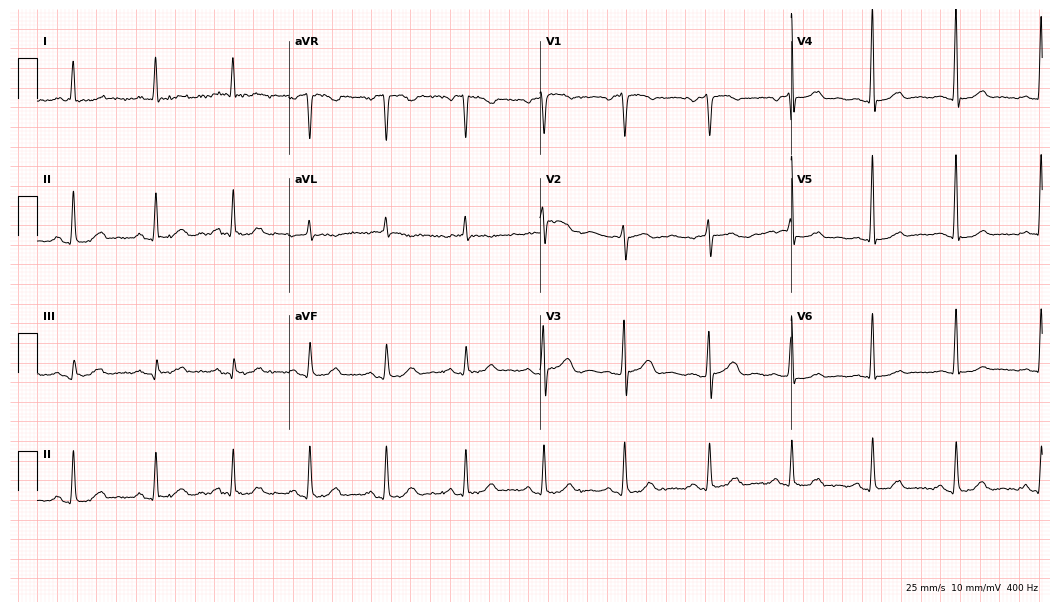
Resting 12-lead electrocardiogram. Patient: a man, 77 years old. Read as a normal ECG.